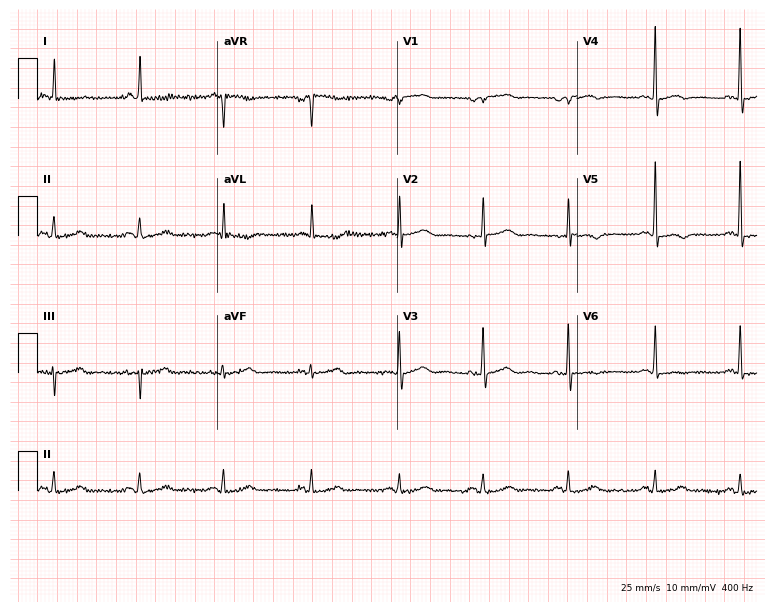
Electrocardiogram (7.3-second recording at 400 Hz), a 79-year-old woman. Of the six screened findings (first-degree AV block, right bundle branch block, left bundle branch block, sinus bradycardia, atrial fibrillation, sinus tachycardia), none is recorded. Only these six findings were labelled.